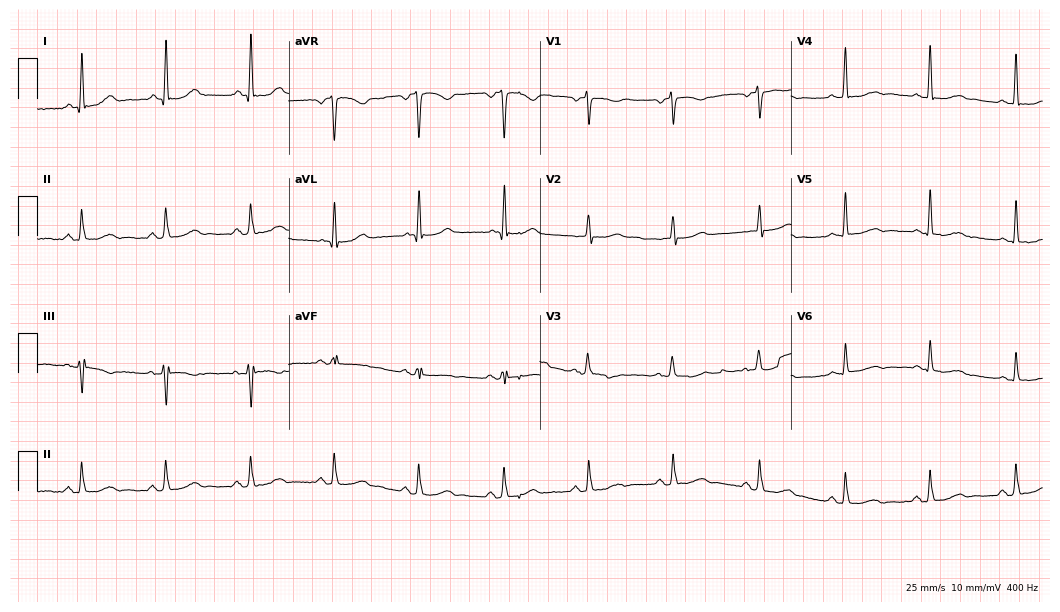
ECG (10.2-second recording at 400 Hz) — a woman, 43 years old. Labelled as a normal ECG.